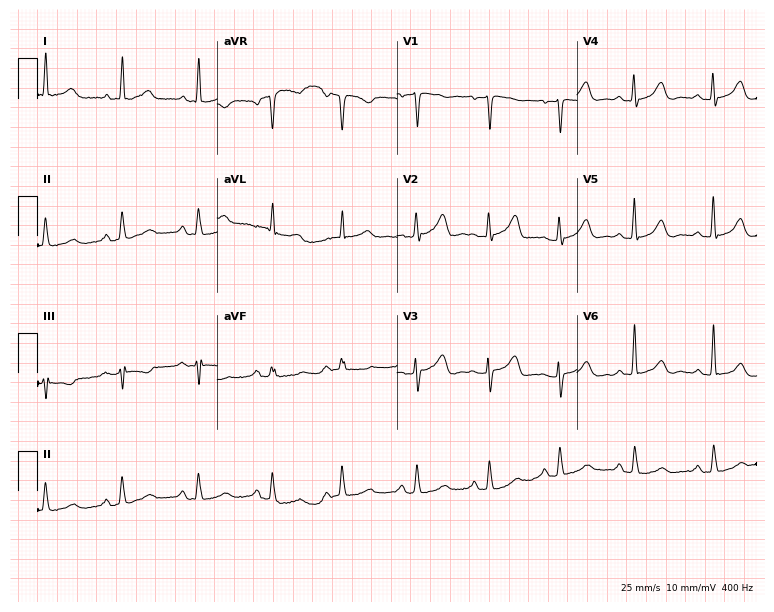
Resting 12-lead electrocardiogram. Patient: a 71-year-old female. None of these six findings is recorded: first-degree AV block, right bundle branch block, left bundle branch block, sinus bradycardia, atrial fibrillation, sinus tachycardia.